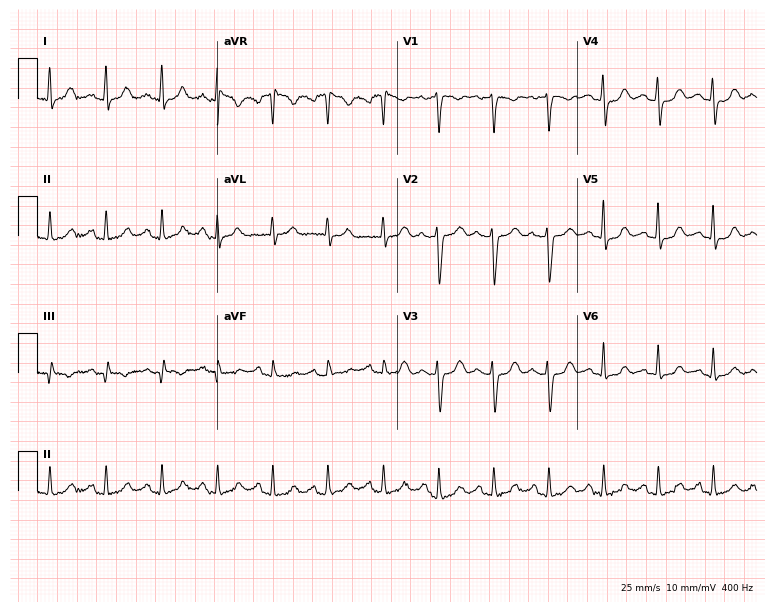
12-lead ECG (7.3-second recording at 400 Hz) from a female patient, 37 years old. Findings include sinus tachycardia (a sinus rate of 100 beats per minute or more).